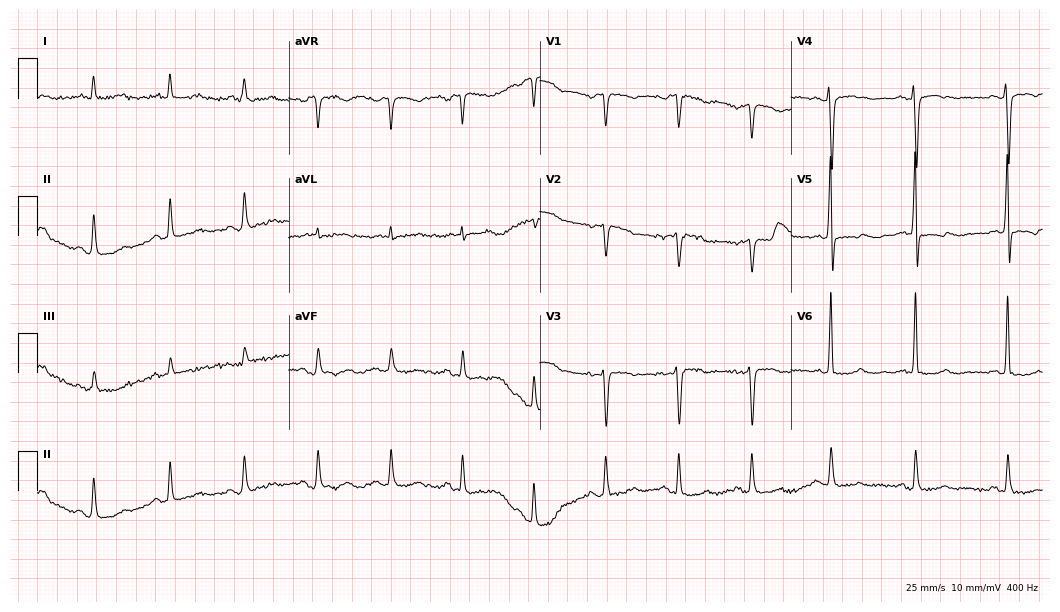
Resting 12-lead electrocardiogram (10.2-second recording at 400 Hz). Patient: a 55-year-old female. None of these six findings is recorded: first-degree AV block, right bundle branch block, left bundle branch block, sinus bradycardia, atrial fibrillation, sinus tachycardia.